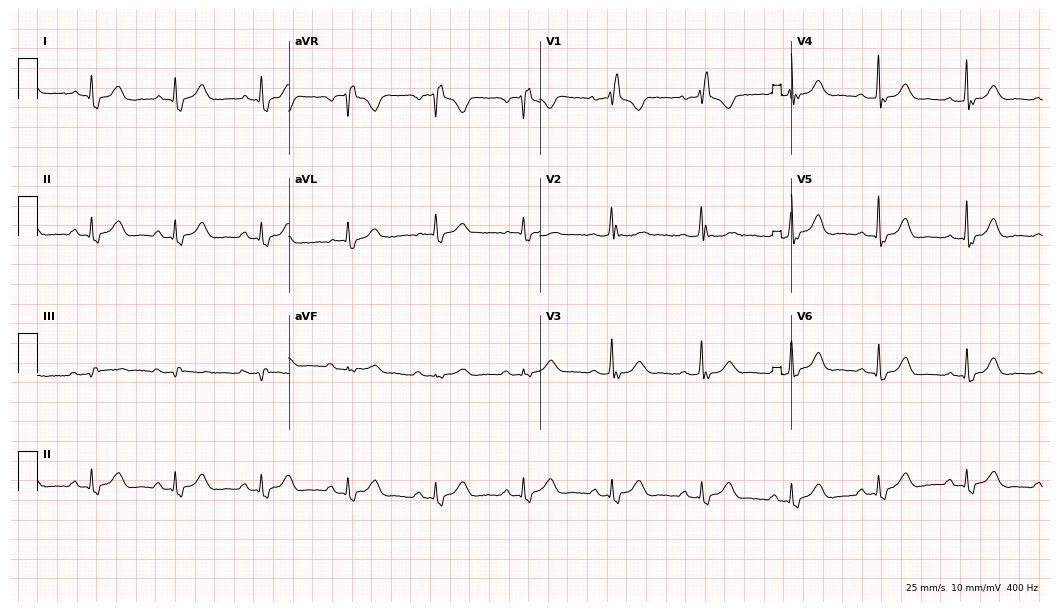
12-lead ECG (10.2-second recording at 400 Hz) from a 71-year-old woman. Findings include right bundle branch block (RBBB).